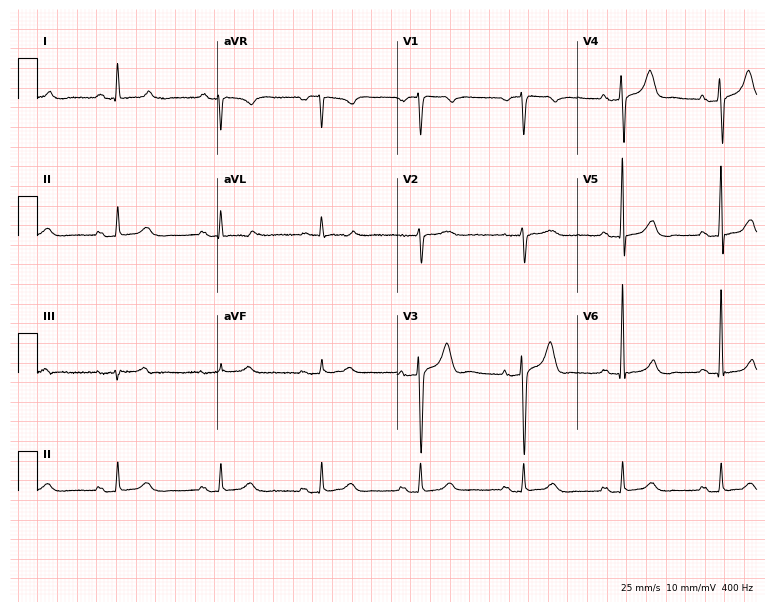
12-lead ECG from a male patient, 62 years old. Recorded interpretation: within normal limits.